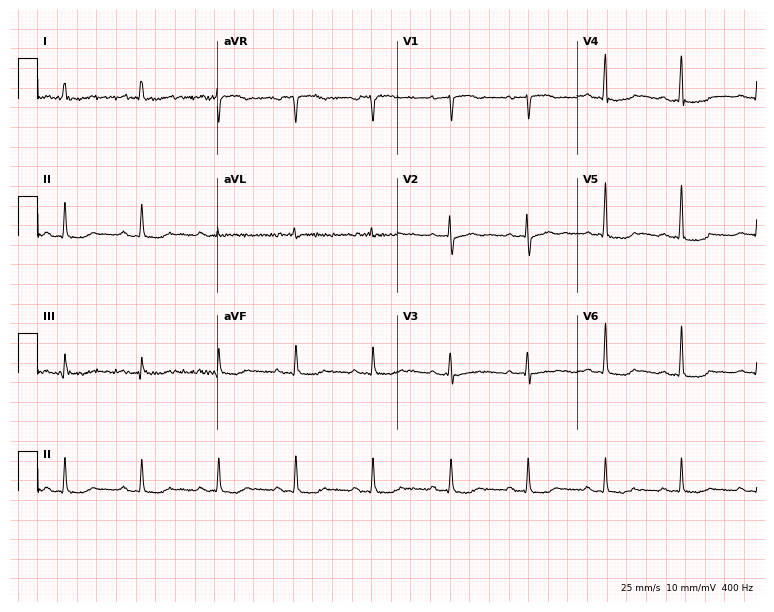
12-lead ECG (7.3-second recording at 400 Hz) from a female, 85 years old. Screened for six findings — first-degree AV block, right bundle branch block, left bundle branch block, sinus bradycardia, atrial fibrillation, sinus tachycardia — none is recorded.